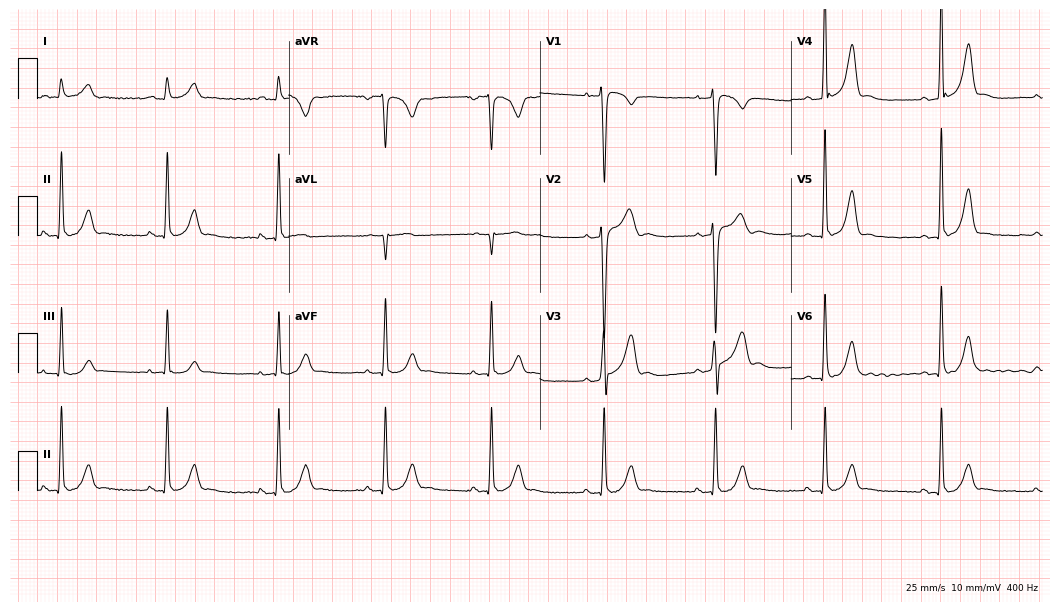
Resting 12-lead electrocardiogram (10.2-second recording at 400 Hz). Patient: a man, 48 years old. Read as a normal ECG.